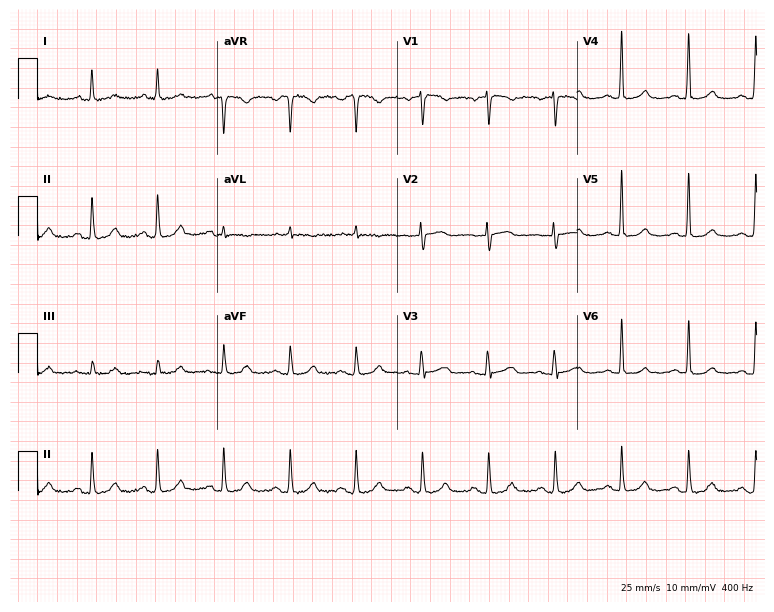
12-lead ECG from a female, 68 years old. Recorded interpretation: within normal limits.